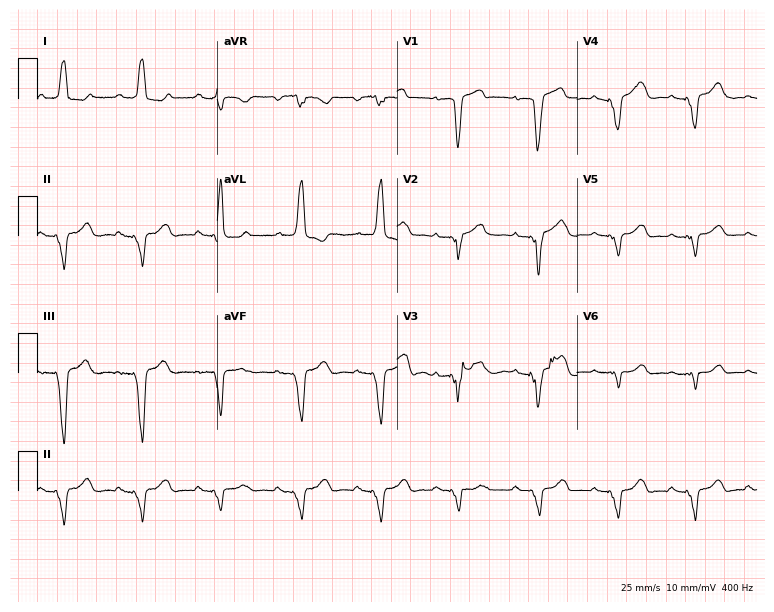
12-lead ECG (7.3-second recording at 400 Hz) from a woman, 51 years old. Screened for six findings — first-degree AV block, right bundle branch block, left bundle branch block, sinus bradycardia, atrial fibrillation, sinus tachycardia — none is recorded.